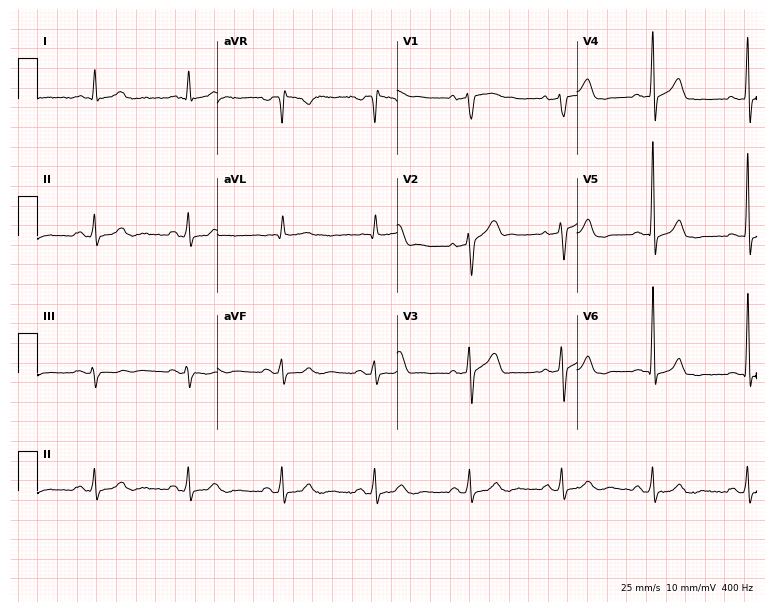
Resting 12-lead electrocardiogram (7.3-second recording at 400 Hz). Patient: a 57-year-old man. None of these six findings is recorded: first-degree AV block, right bundle branch block (RBBB), left bundle branch block (LBBB), sinus bradycardia, atrial fibrillation (AF), sinus tachycardia. Other findings, if any, are not listed.